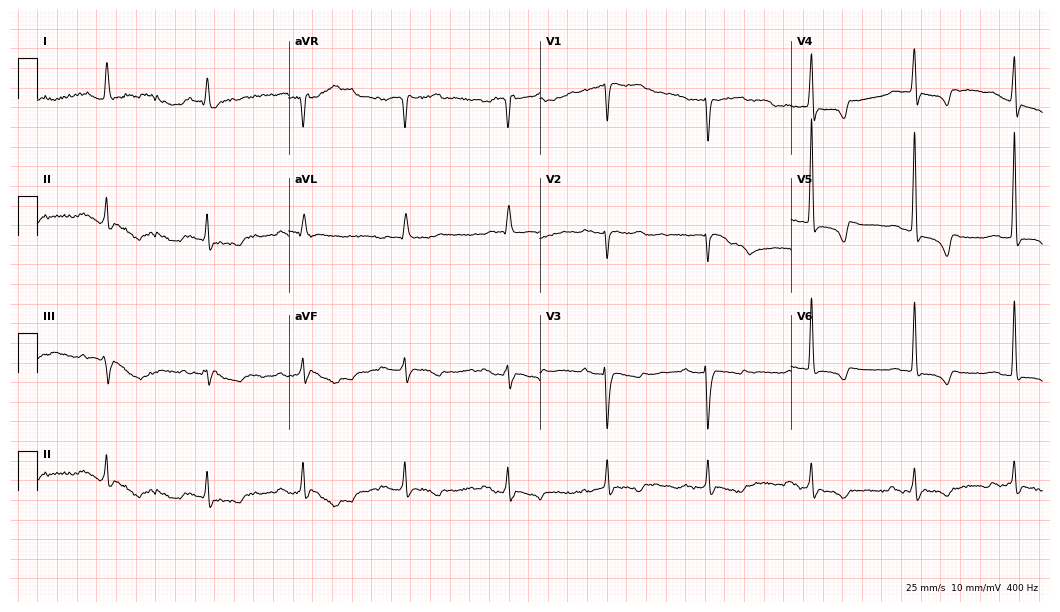
Standard 12-lead ECG recorded from a female, 82 years old. None of these six findings is recorded: first-degree AV block, right bundle branch block, left bundle branch block, sinus bradycardia, atrial fibrillation, sinus tachycardia. Other findings, if any, are not listed.